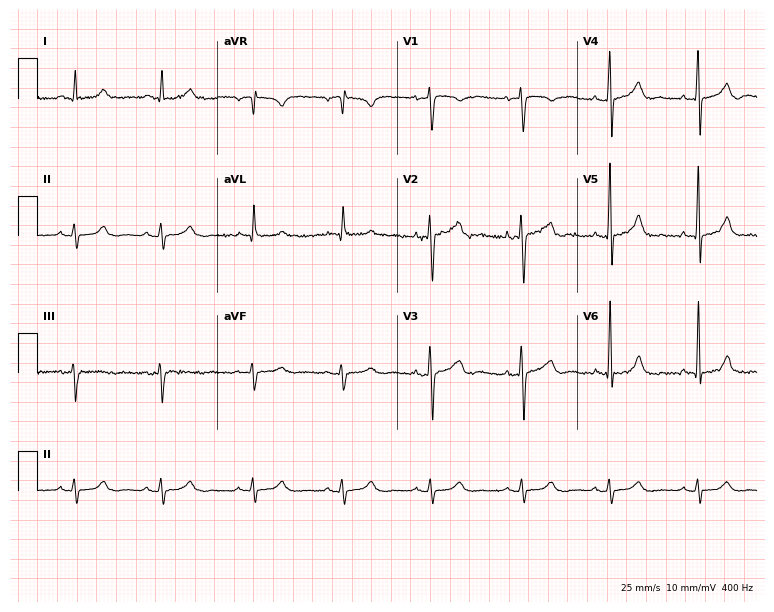
Standard 12-lead ECG recorded from a 52-year-old woman (7.3-second recording at 400 Hz). None of these six findings is recorded: first-degree AV block, right bundle branch block, left bundle branch block, sinus bradycardia, atrial fibrillation, sinus tachycardia. Only these six findings were labelled.